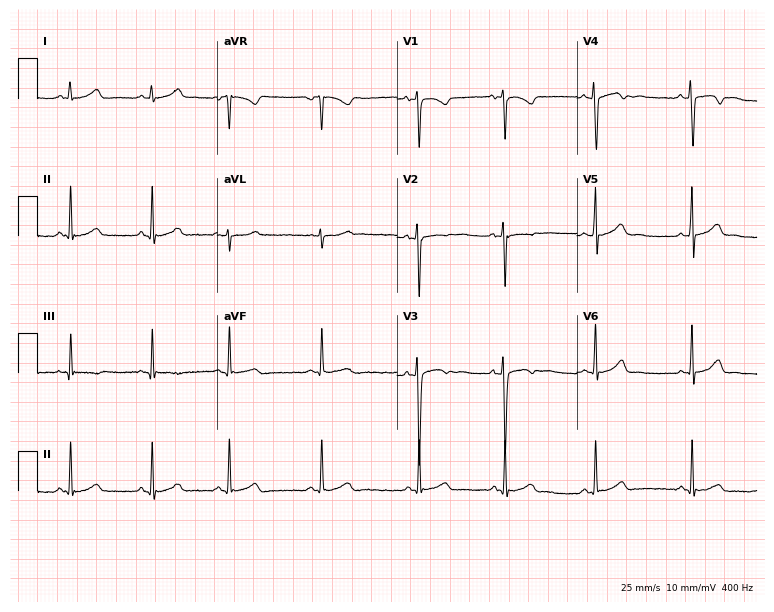
Standard 12-lead ECG recorded from a female, 18 years old. Read as a normal ECG.